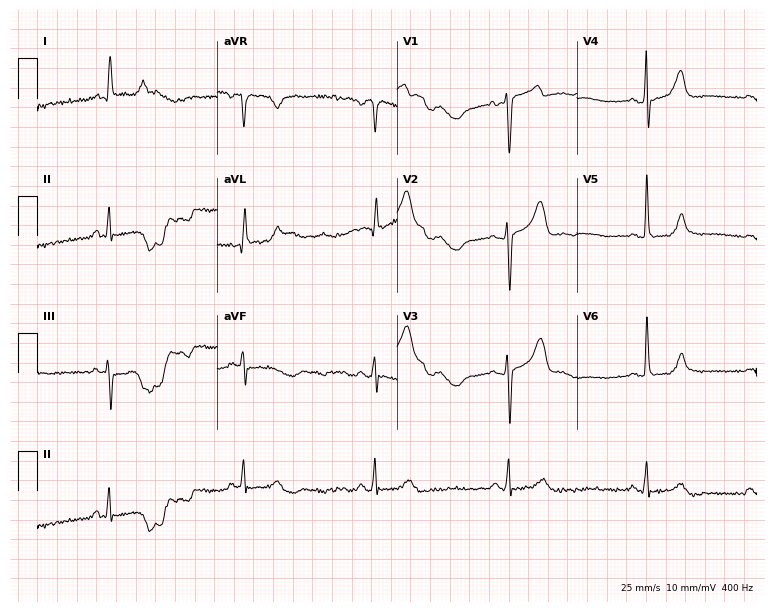
12-lead ECG (7.3-second recording at 400 Hz) from a 39-year-old male. Screened for six findings — first-degree AV block, right bundle branch block, left bundle branch block, sinus bradycardia, atrial fibrillation, sinus tachycardia — none is recorded. Only these six findings were labelled.